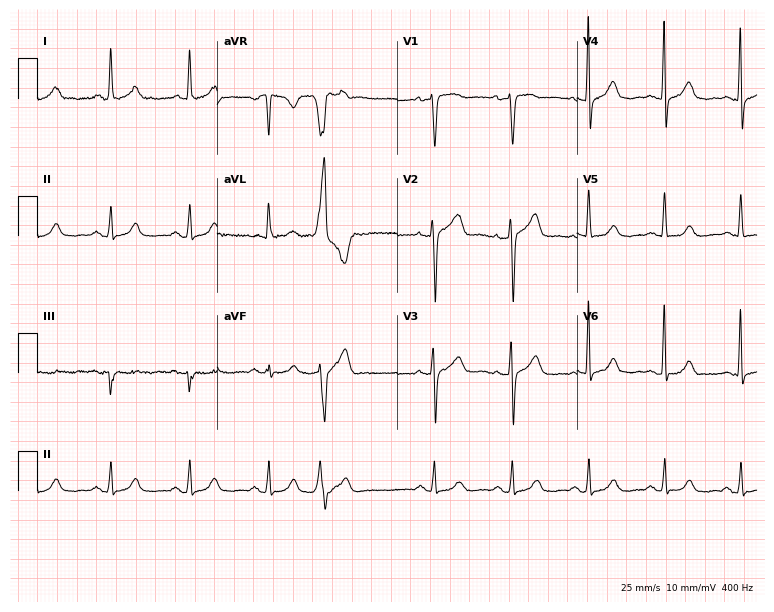
12-lead ECG from a 59-year-old female patient. No first-degree AV block, right bundle branch block, left bundle branch block, sinus bradycardia, atrial fibrillation or sinus tachycardia recorded for this tracing.